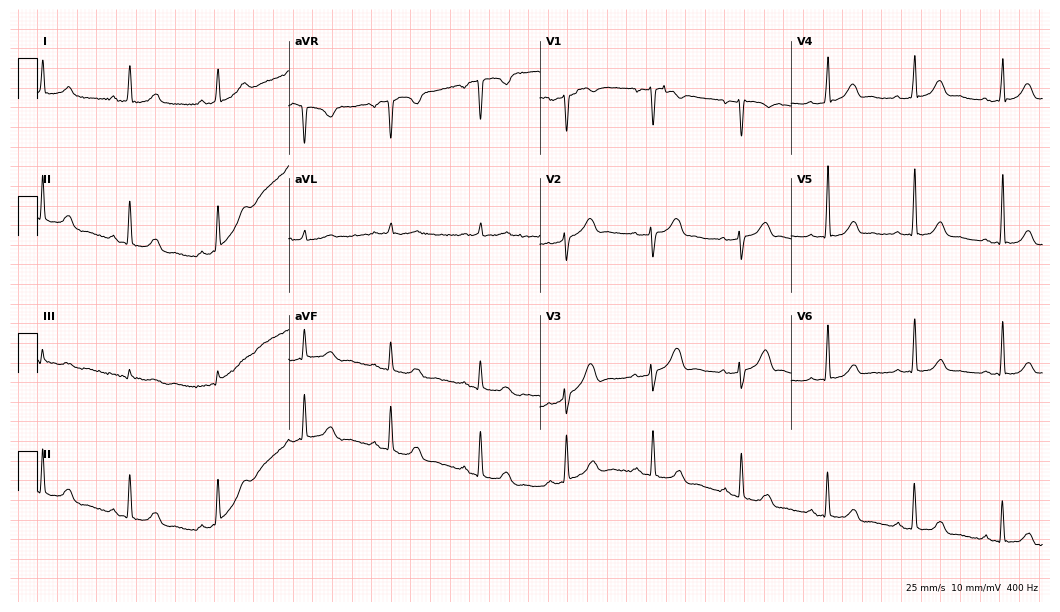
12-lead ECG (10.2-second recording at 400 Hz) from a 36-year-old woman. Labelled as a normal ECG.